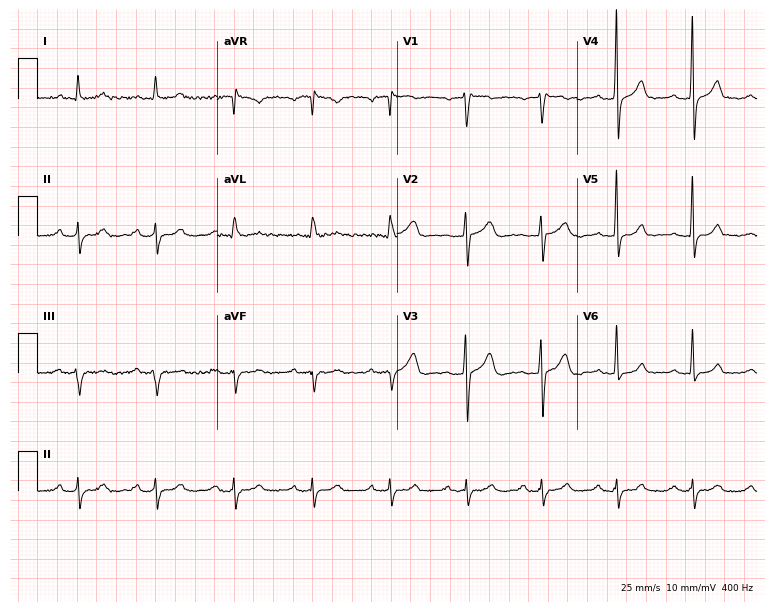
12-lead ECG from a 69-year-old male (7.3-second recording at 400 Hz). Recorded interpretation: within normal limits.